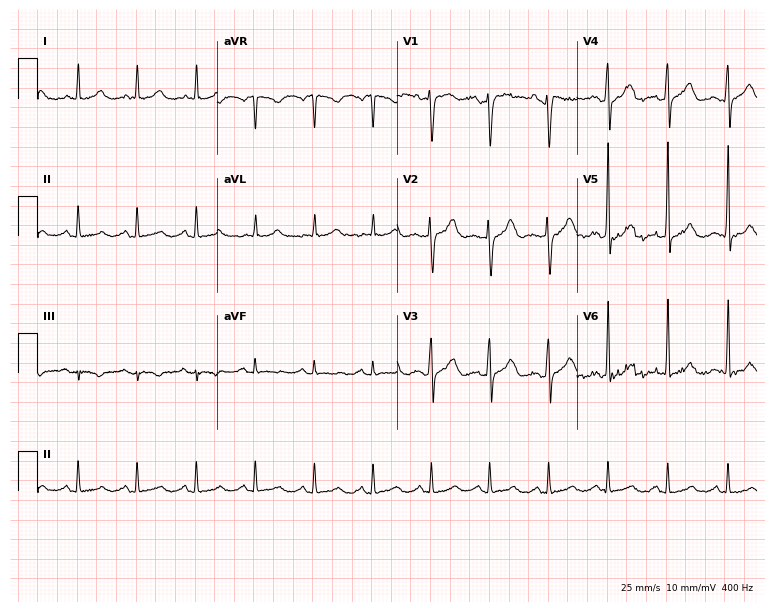
ECG (7.3-second recording at 400 Hz) — a male patient, 37 years old. Labelled as a normal ECG.